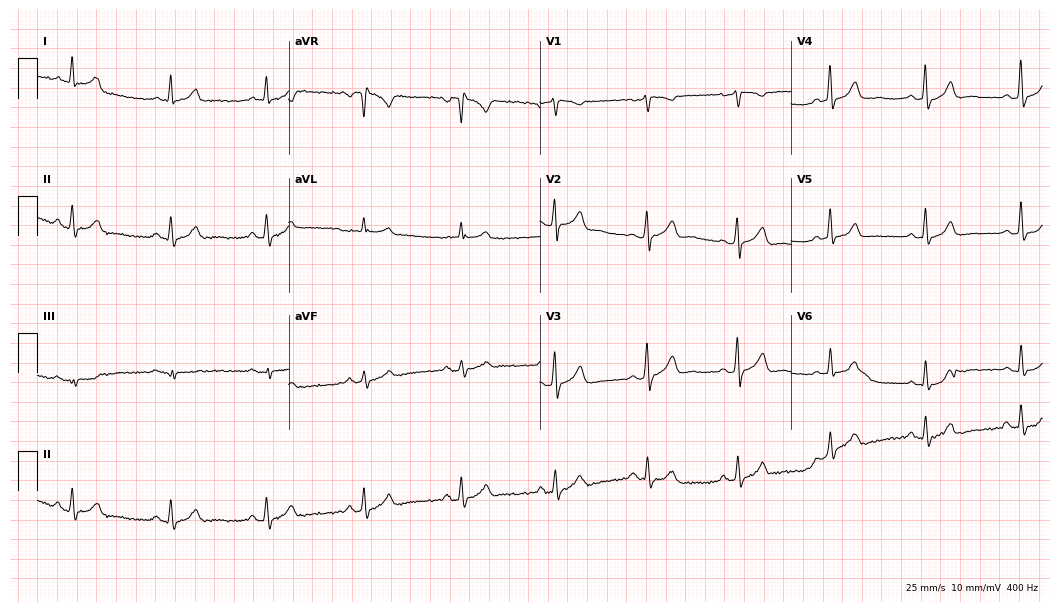
ECG — a 57-year-old male patient. Labelled as a normal ECG.